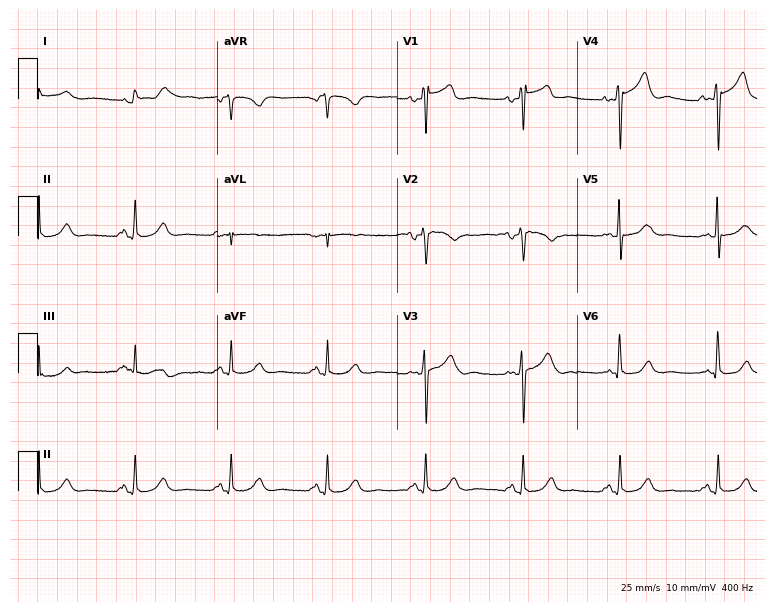
Resting 12-lead electrocardiogram. Patient: a male, 63 years old. None of these six findings is recorded: first-degree AV block, right bundle branch block, left bundle branch block, sinus bradycardia, atrial fibrillation, sinus tachycardia. Other findings, if any, are not listed.